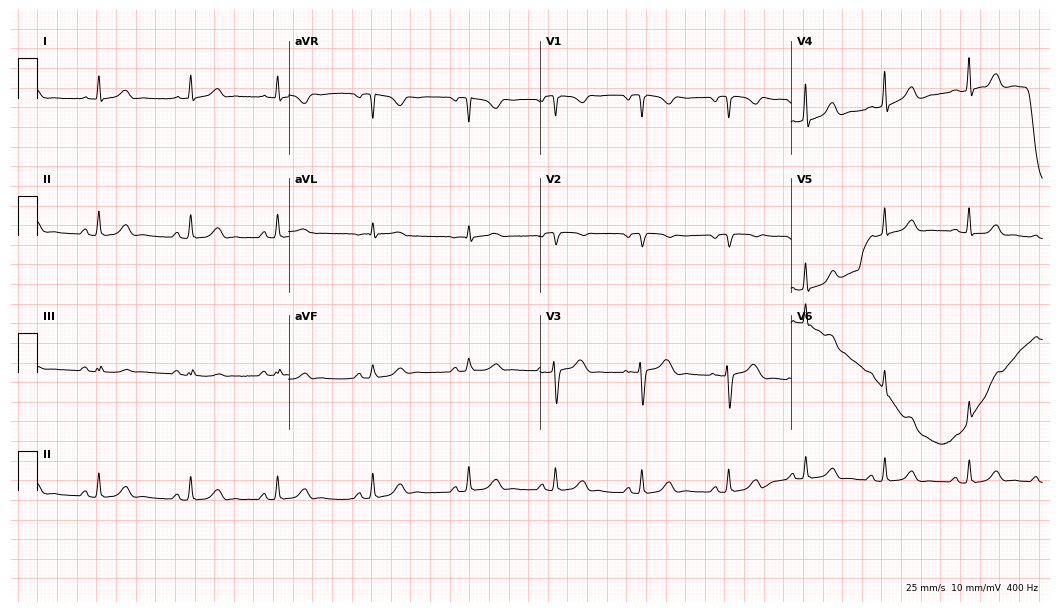
12-lead ECG from a 35-year-old female patient. Recorded interpretation: within normal limits.